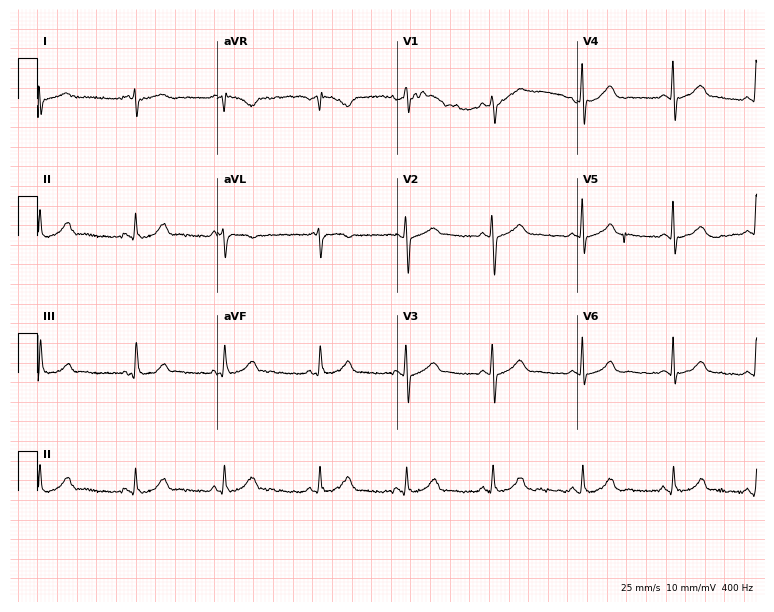
12-lead ECG from a female patient, 25 years old. Screened for six findings — first-degree AV block, right bundle branch block, left bundle branch block, sinus bradycardia, atrial fibrillation, sinus tachycardia — none is recorded. Other findings, if any, are not listed.